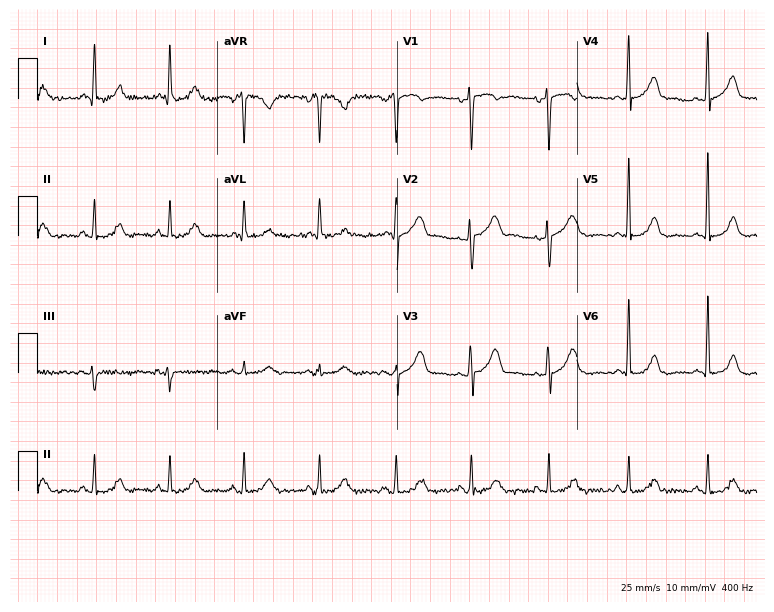
Standard 12-lead ECG recorded from a 67-year-old woman. None of these six findings is recorded: first-degree AV block, right bundle branch block, left bundle branch block, sinus bradycardia, atrial fibrillation, sinus tachycardia. Other findings, if any, are not listed.